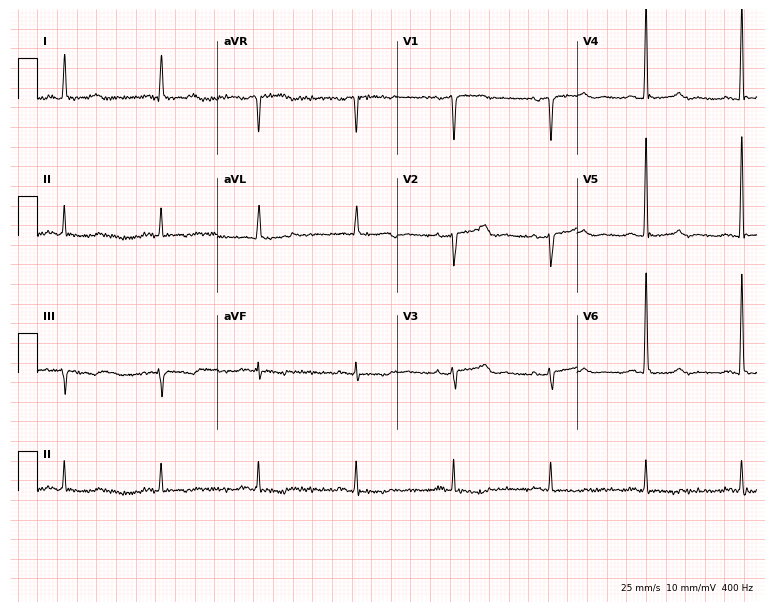
12-lead ECG (7.3-second recording at 400 Hz) from a 73-year-old female patient. Screened for six findings — first-degree AV block, right bundle branch block, left bundle branch block, sinus bradycardia, atrial fibrillation, sinus tachycardia — none is recorded.